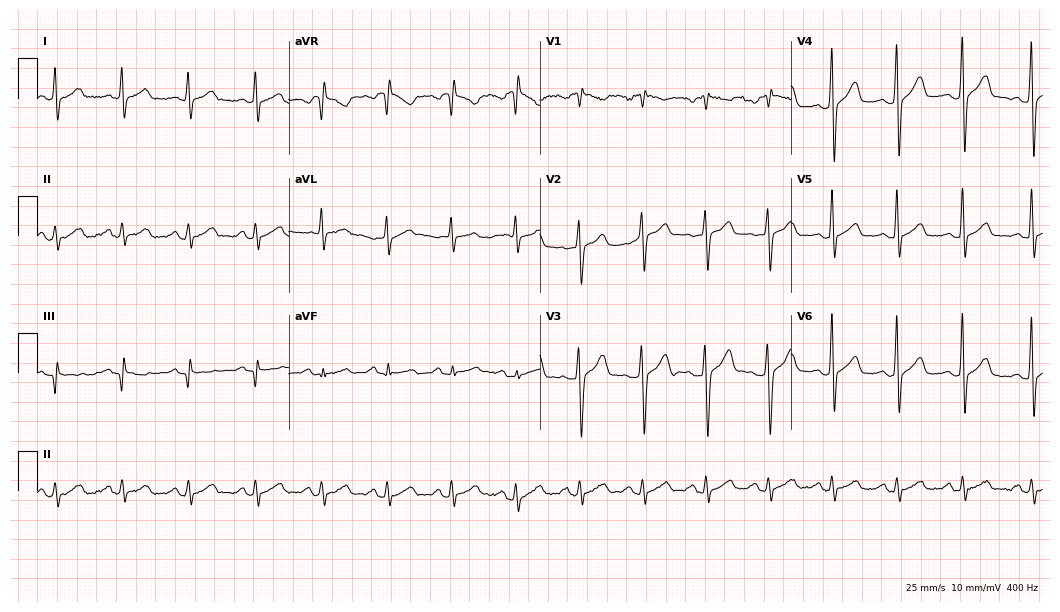
Standard 12-lead ECG recorded from a 53-year-old male patient. Read as a normal ECG.